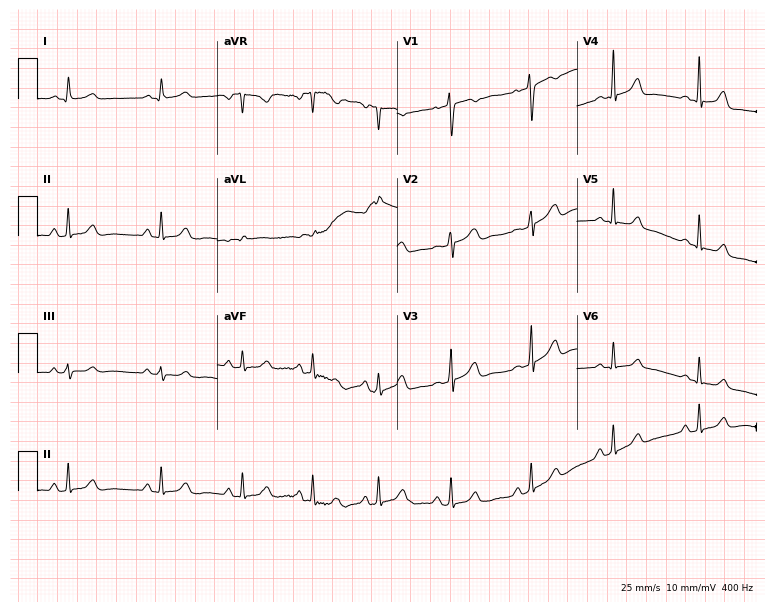
12-lead ECG from a female patient, 19 years old (7.3-second recording at 400 Hz). No first-degree AV block, right bundle branch block (RBBB), left bundle branch block (LBBB), sinus bradycardia, atrial fibrillation (AF) or sinus tachycardia recorded for this tracing. Only these six findings were labelled.